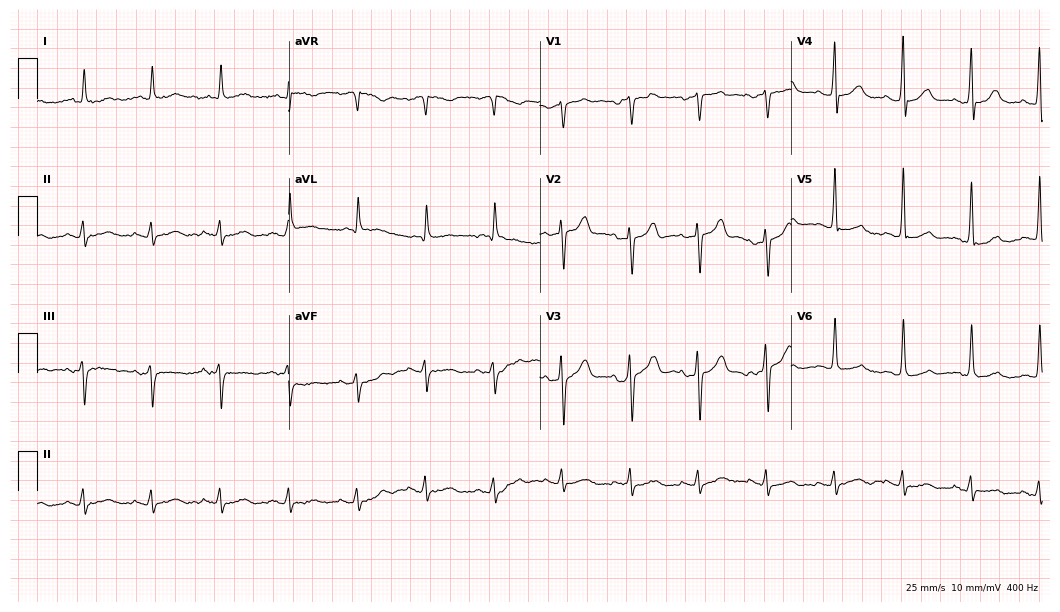
Standard 12-lead ECG recorded from a male, 85 years old. None of these six findings is recorded: first-degree AV block, right bundle branch block, left bundle branch block, sinus bradycardia, atrial fibrillation, sinus tachycardia.